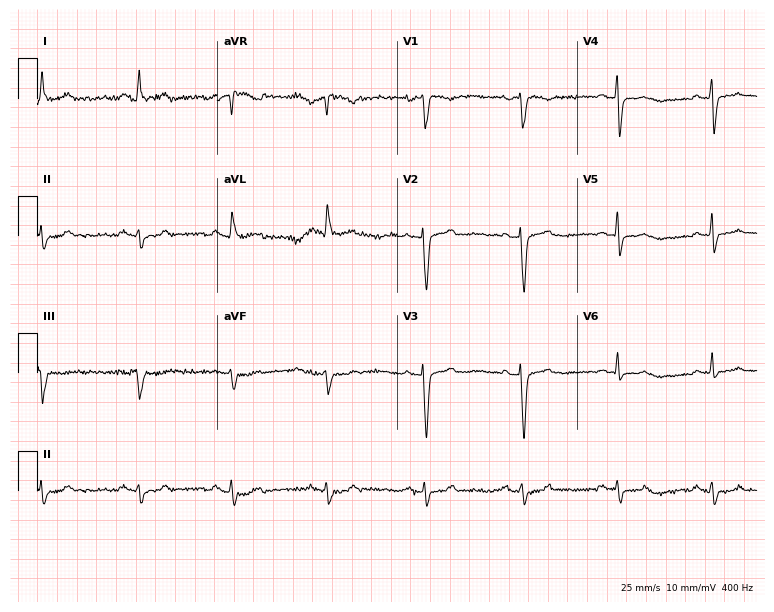
12-lead ECG from a 62-year-old woman. No first-degree AV block, right bundle branch block (RBBB), left bundle branch block (LBBB), sinus bradycardia, atrial fibrillation (AF) or sinus tachycardia recorded for this tracing. Only these six findings were labelled.